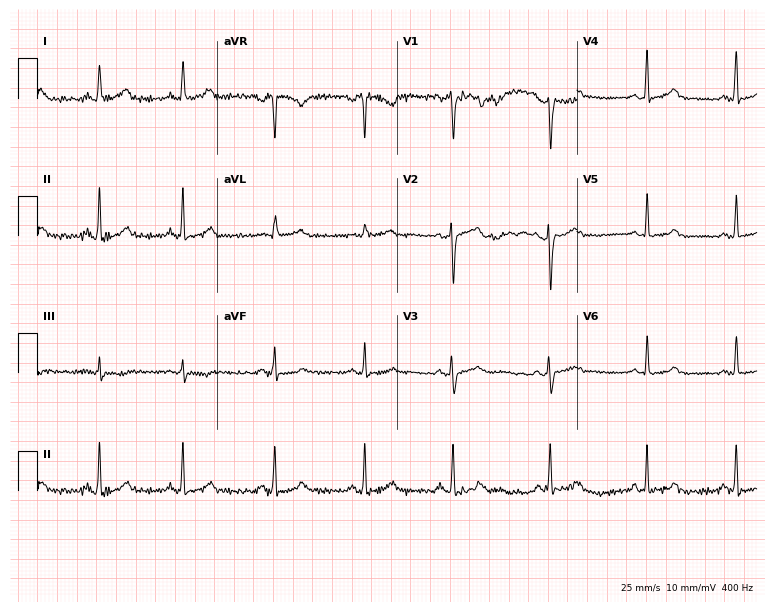
Resting 12-lead electrocardiogram. Patient: a female, 38 years old. None of these six findings is recorded: first-degree AV block, right bundle branch block (RBBB), left bundle branch block (LBBB), sinus bradycardia, atrial fibrillation (AF), sinus tachycardia. Other findings, if any, are not listed.